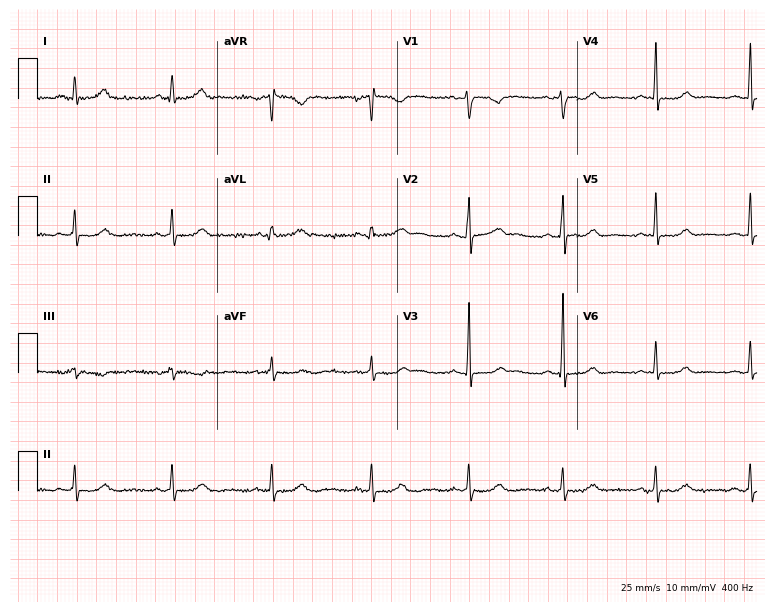
Resting 12-lead electrocardiogram (7.3-second recording at 400 Hz). Patient: a 42-year-old woman. None of these six findings is recorded: first-degree AV block, right bundle branch block, left bundle branch block, sinus bradycardia, atrial fibrillation, sinus tachycardia.